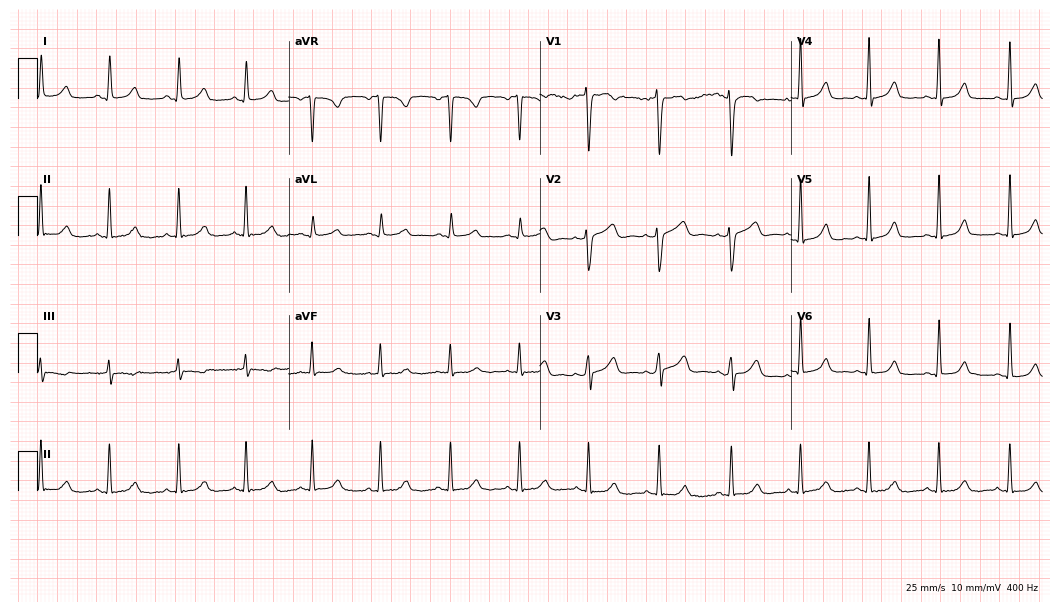
12-lead ECG (10.2-second recording at 400 Hz) from a 35-year-old female patient. Labelled as a normal ECG.